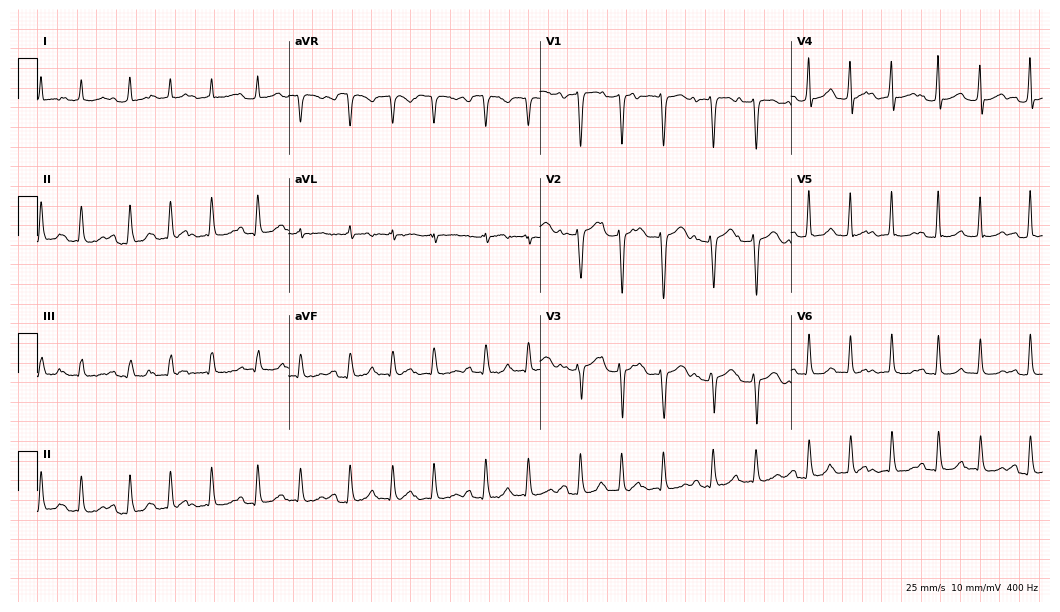
Electrocardiogram, a 45-year-old female patient. Interpretation includes atrial fibrillation.